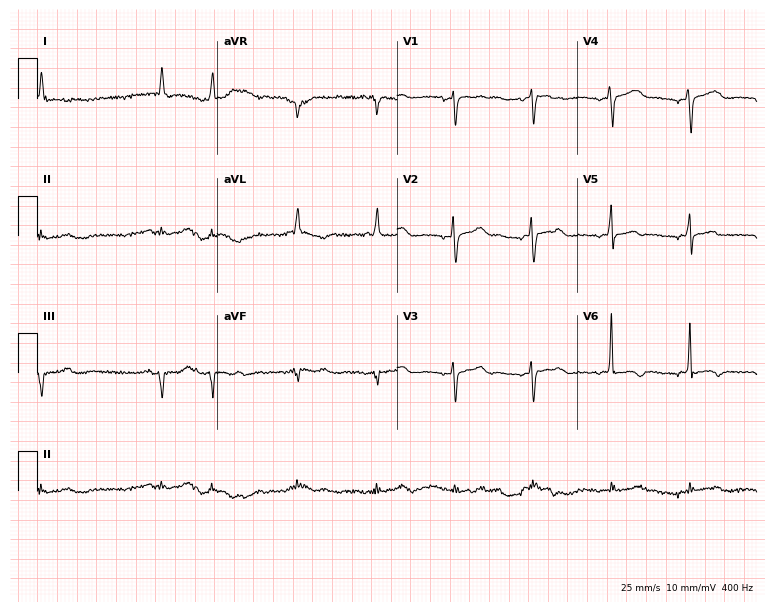
Standard 12-lead ECG recorded from a female patient, 83 years old (7.3-second recording at 400 Hz). None of these six findings is recorded: first-degree AV block, right bundle branch block, left bundle branch block, sinus bradycardia, atrial fibrillation, sinus tachycardia.